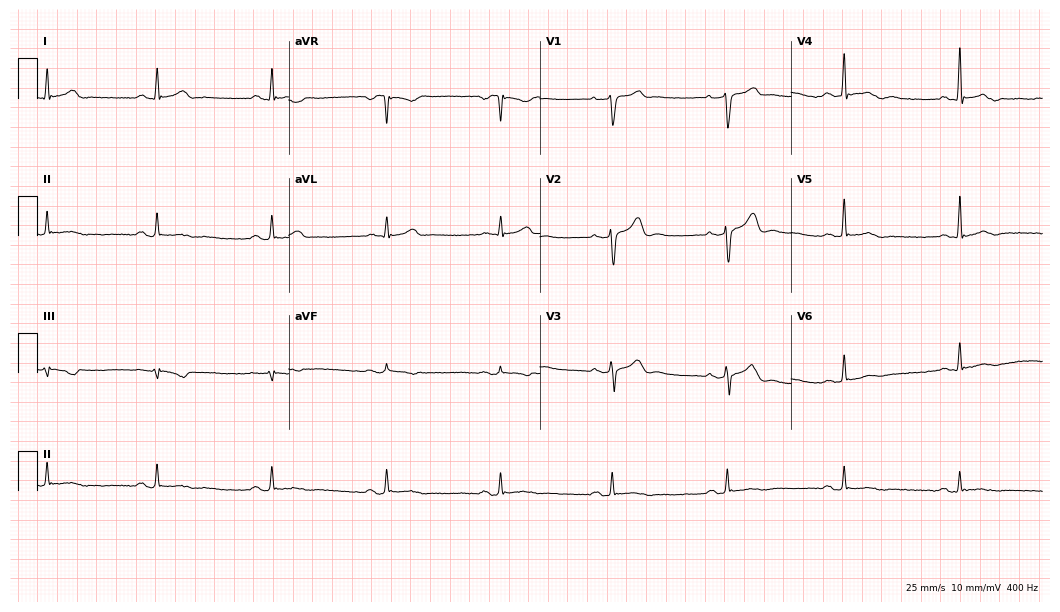
Standard 12-lead ECG recorded from a male patient, 48 years old (10.2-second recording at 400 Hz). None of these six findings is recorded: first-degree AV block, right bundle branch block, left bundle branch block, sinus bradycardia, atrial fibrillation, sinus tachycardia. Findings outside these six are not listed.